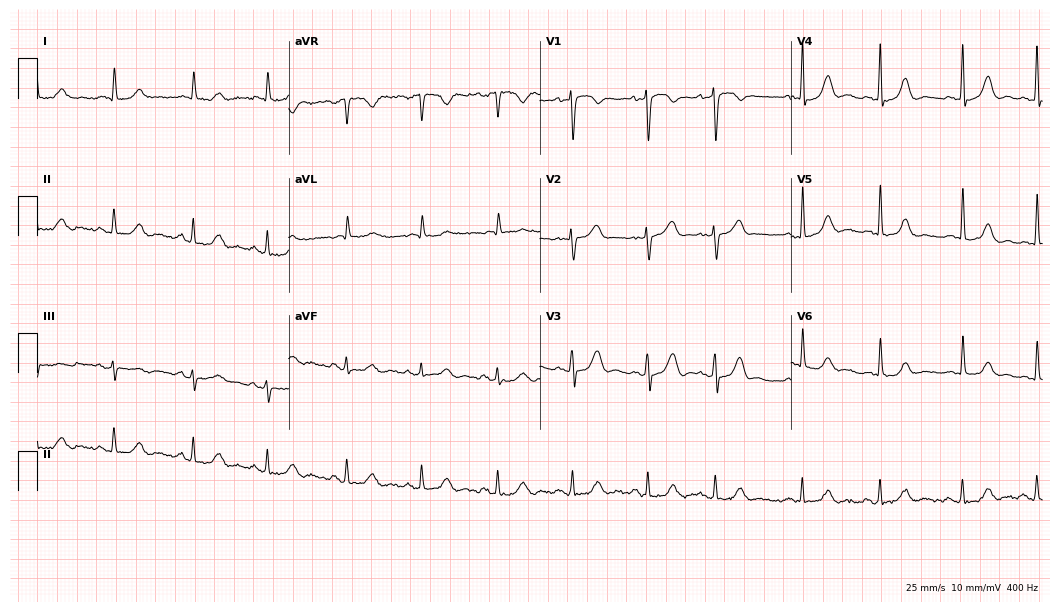
Standard 12-lead ECG recorded from an 83-year-old man. None of these six findings is recorded: first-degree AV block, right bundle branch block (RBBB), left bundle branch block (LBBB), sinus bradycardia, atrial fibrillation (AF), sinus tachycardia.